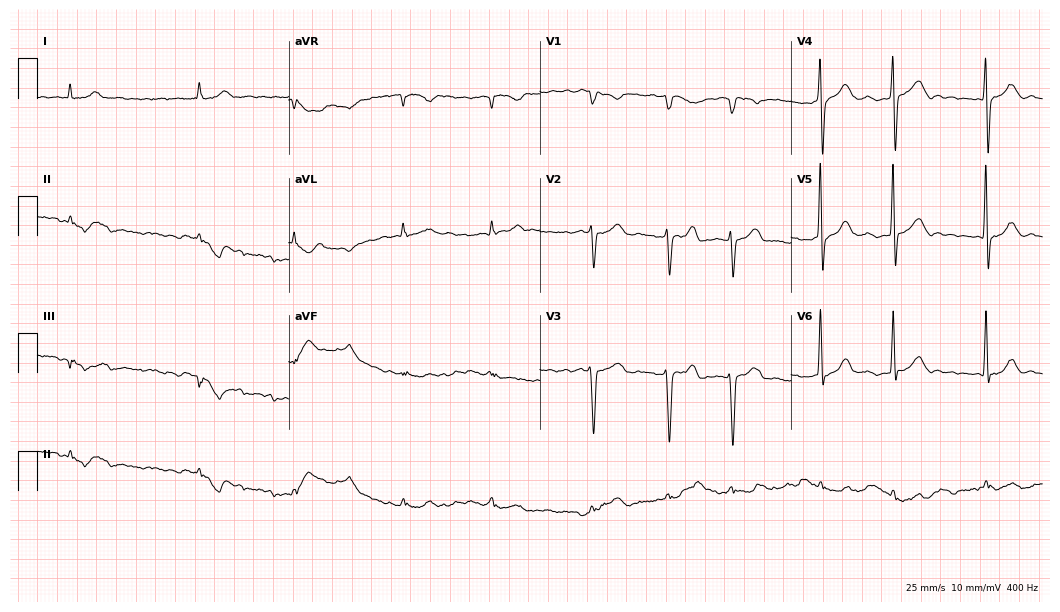
Standard 12-lead ECG recorded from a 76-year-old male patient. None of these six findings is recorded: first-degree AV block, right bundle branch block, left bundle branch block, sinus bradycardia, atrial fibrillation, sinus tachycardia. Findings outside these six are not listed.